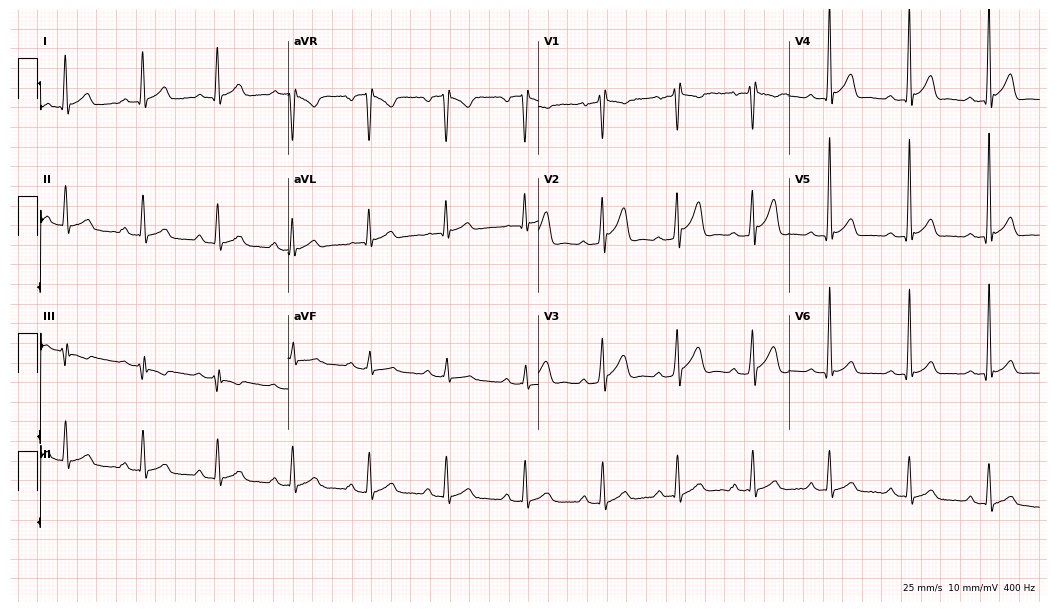
12-lead ECG (10.2-second recording at 400 Hz) from a 32-year-old man. Findings include first-degree AV block.